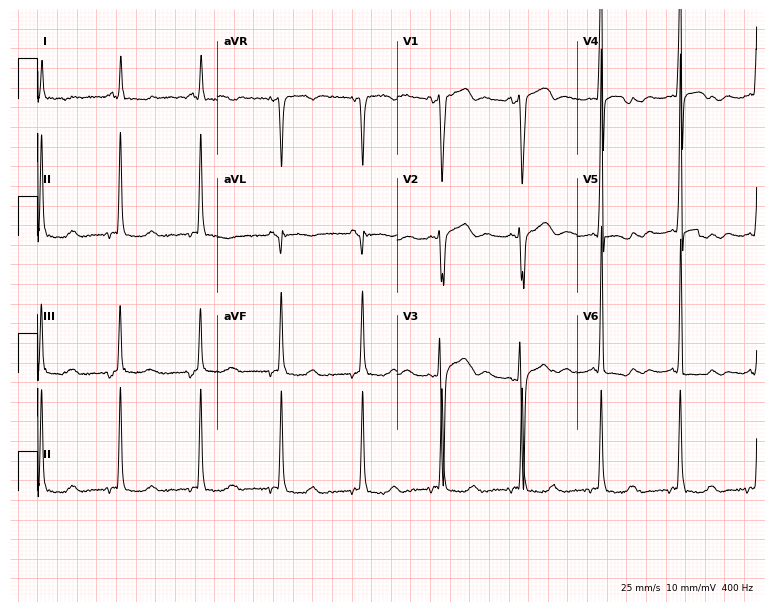
Resting 12-lead electrocardiogram. Patient: a 50-year-old male. None of these six findings is recorded: first-degree AV block, right bundle branch block, left bundle branch block, sinus bradycardia, atrial fibrillation, sinus tachycardia.